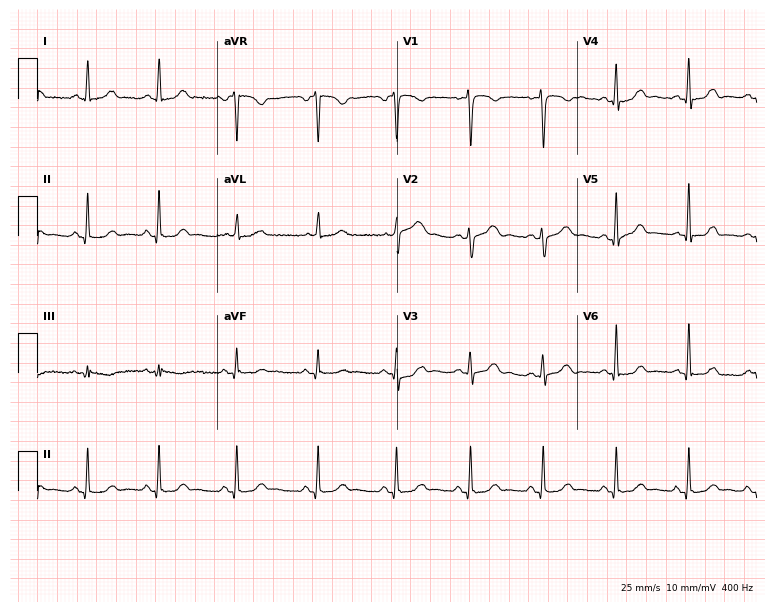
ECG — a 37-year-old female patient. Screened for six findings — first-degree AV block, right bundle branch block, left bundle branch block, sinus bradycardia, atrial fibrillation, sinus tachycardia — none is recorded.